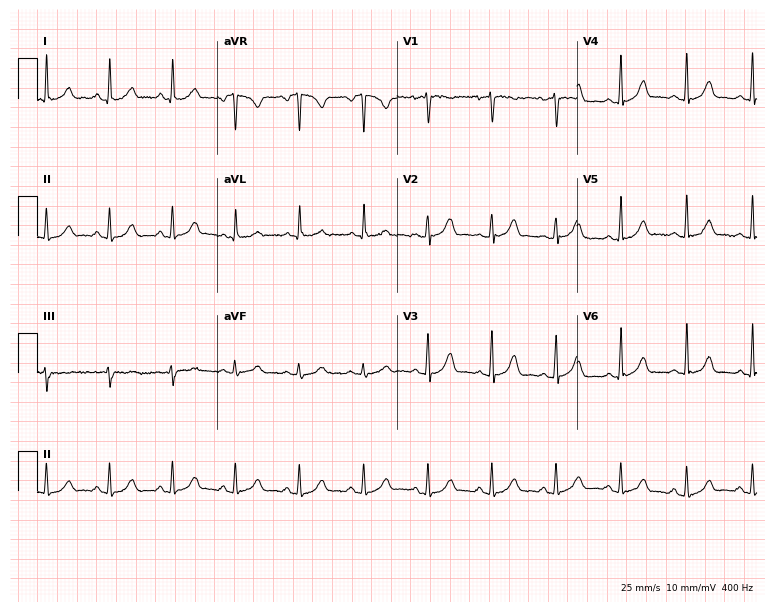
12-lead ECG from a female, 54 years old. Recorded interpretation: within normal limits.